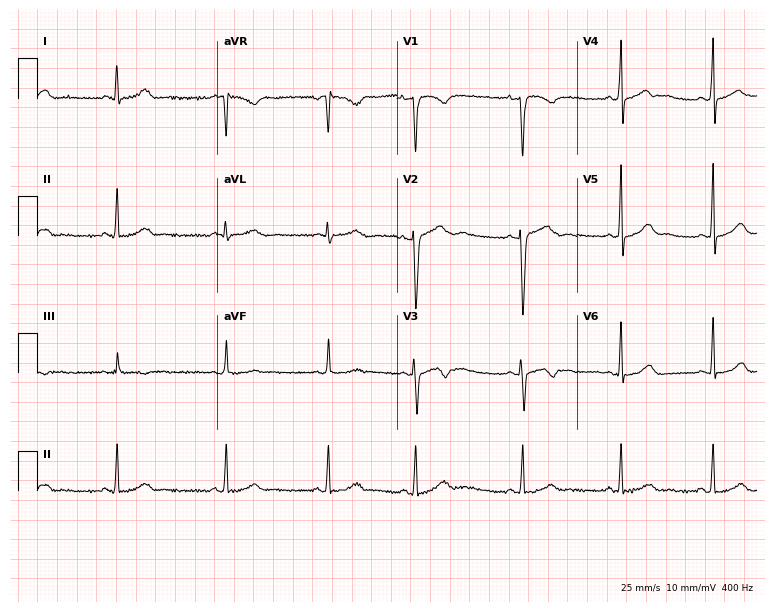
12-lead ECG from a female patient, 19 years old (7.3-second recording at 400 Hz). No first-degree AV block, right bundle branch block, left bundle branch block, sinus bradycardia, atrial fibrillation or sinus tachycardia recorded for this tracing. Findings outside these six are not listed.